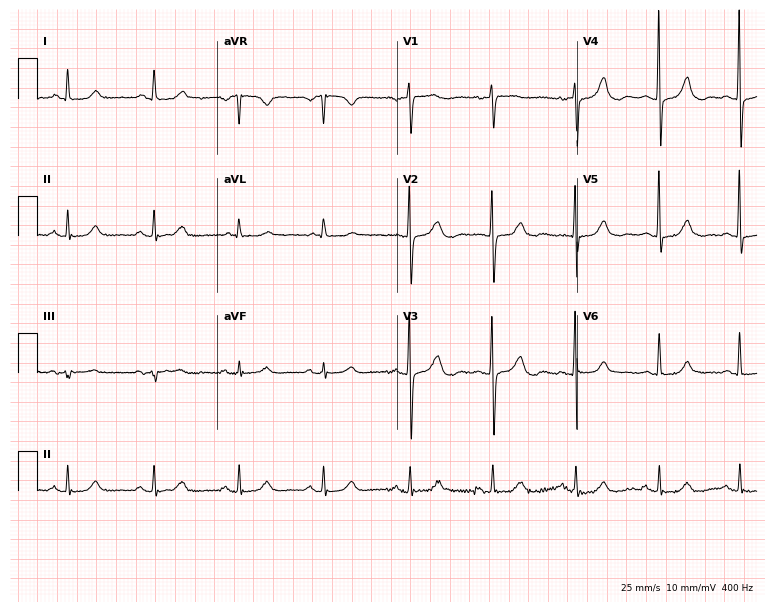
12-lead ECG (7.3-second recording at 400 Hz) from an 82-year-old female. Labelled as a normal ECG.